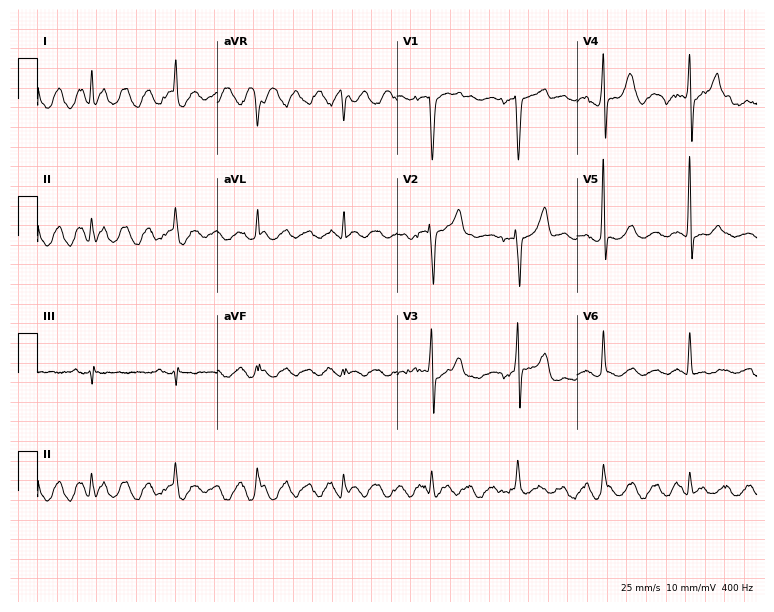
Standard 12-lead ECG recorded from a male patient, 83 years old (7.3-second recording at 400 Hz). None of these six findings is recorded: first-degree AV block, right bundle branch block, left bundle branch block, sinus bradycardia, atrial fibrillation, sinus tachycardia.